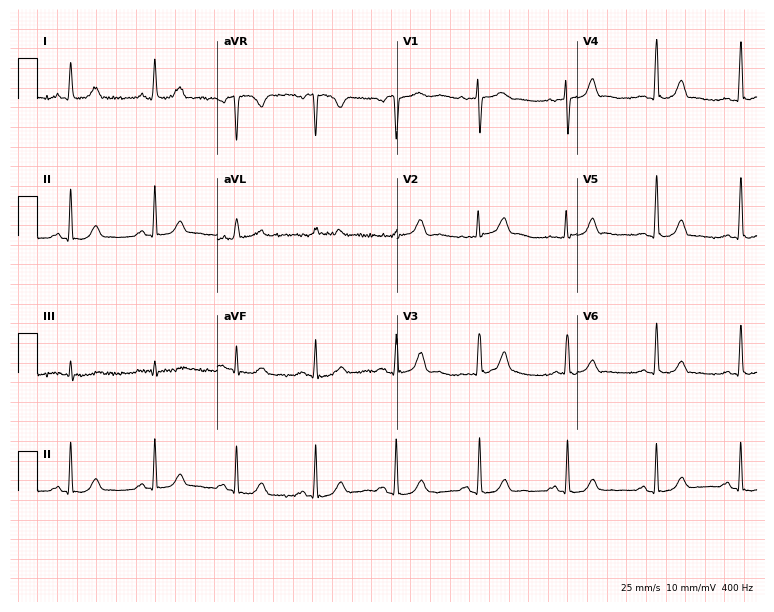
ECG (7.3-second recording at 400 Hz) — a female, 38 years old. Labelled as a normal ECG.